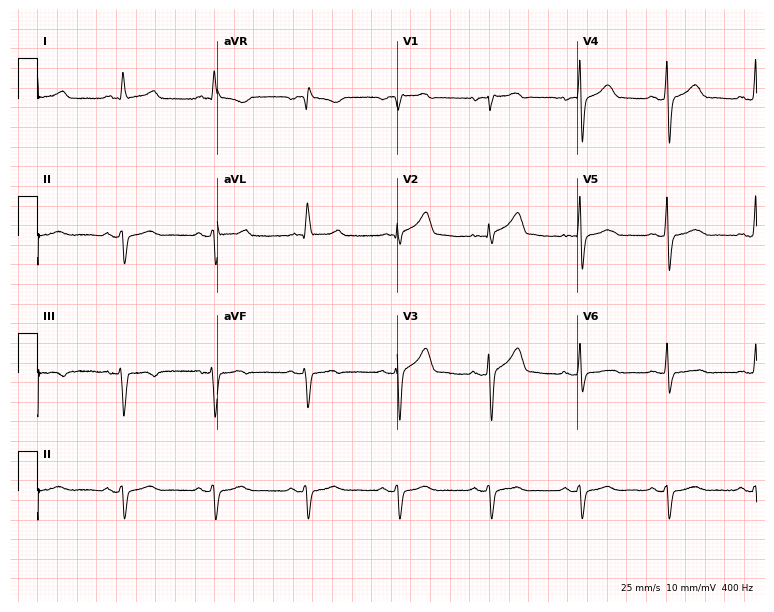
ECG — a man, 82 years old. Screened for six findings — first-degree AV block, right bundle branch block (RBBB), left bundle branch block (LBBB), sinus bradycardia, atrial fibrillation (AF), sinus tachycardia — none is recorded.